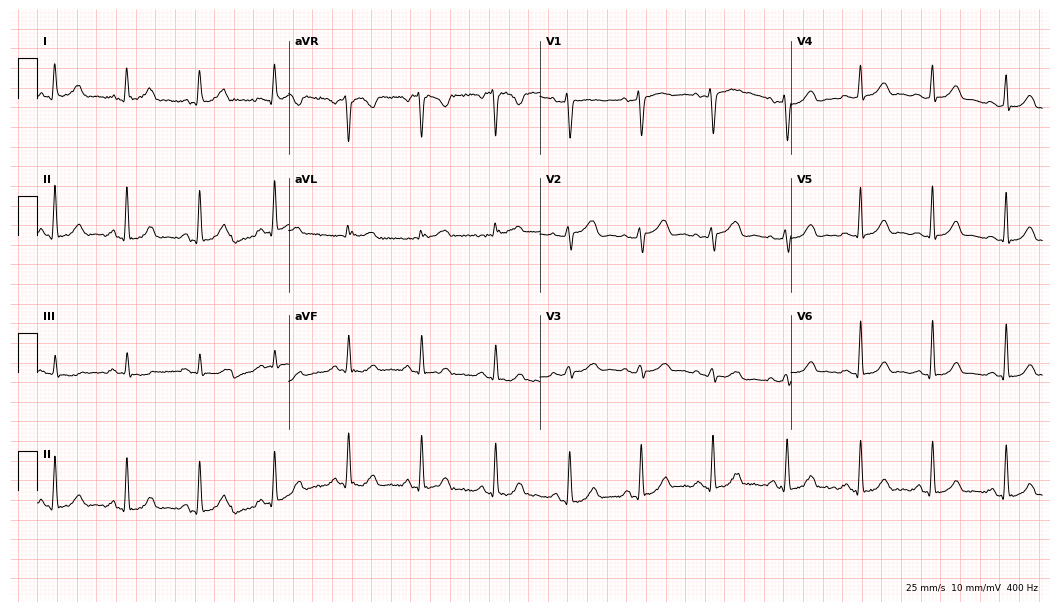
12-lead ECG from a 34-year-old female patient (10.2-second recording at 400 Hz). Recorded interpretation: within normal limits.